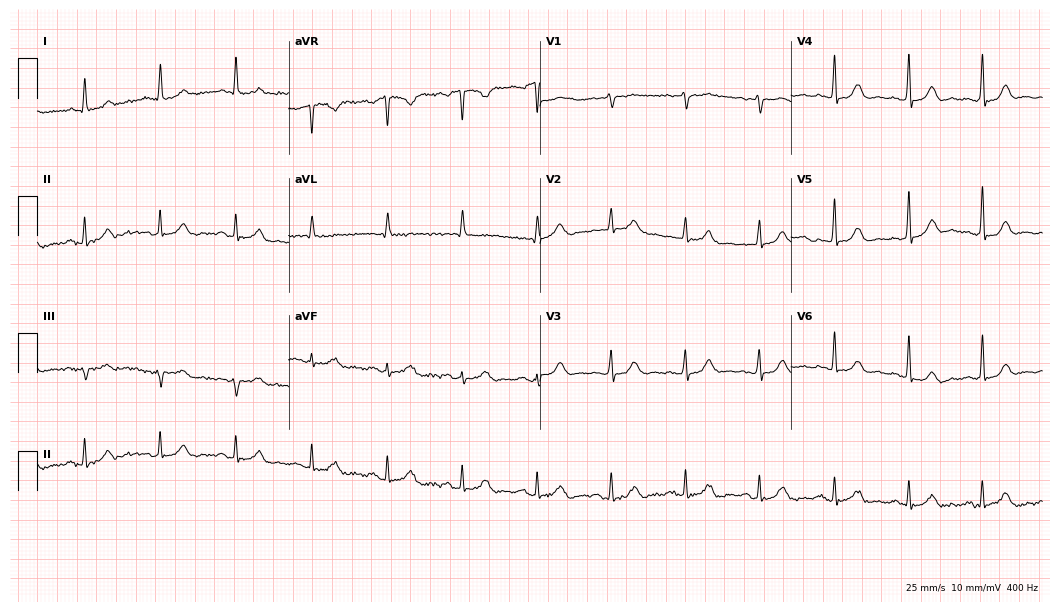
12-lead ECG from a female, 70 years old (10.2-second recording at 400 Hz). Recorded interpretation: within normal limits.